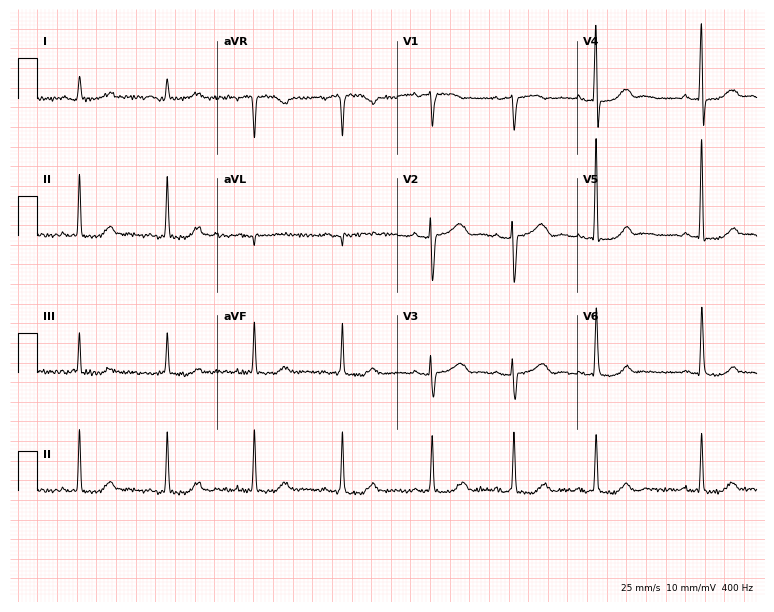
Electrocardiogram (7.3-second recording at 400 Hz), a female patient, 64 years old. Overall reading on record: normal ECG.